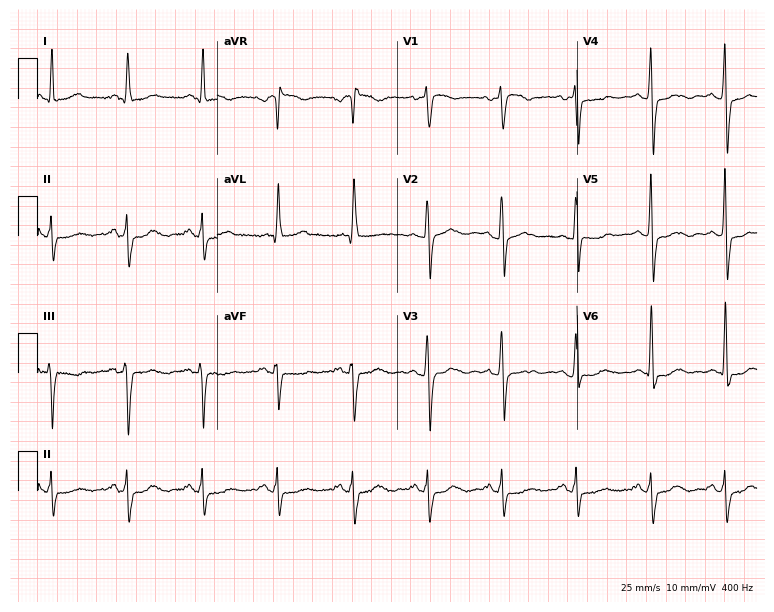
12-lead ECG from a female, 72 years old (7.3-second recording at 400 Hz). No first-degree AV block, right bundle branch block, left bundle branch block, sinus bradycardia, atrial fibrillation or sinus tachycardia recorded for this tracing. Other findings, if any, are not listed.